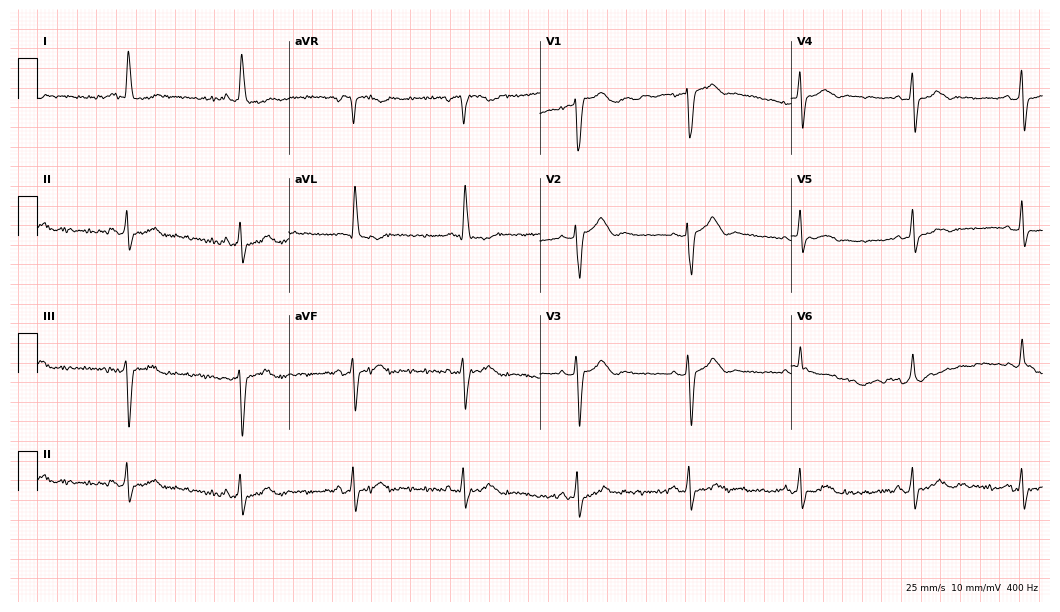
12-lead ECG from a woman, 71 years old. Labelled as a normal ECG.